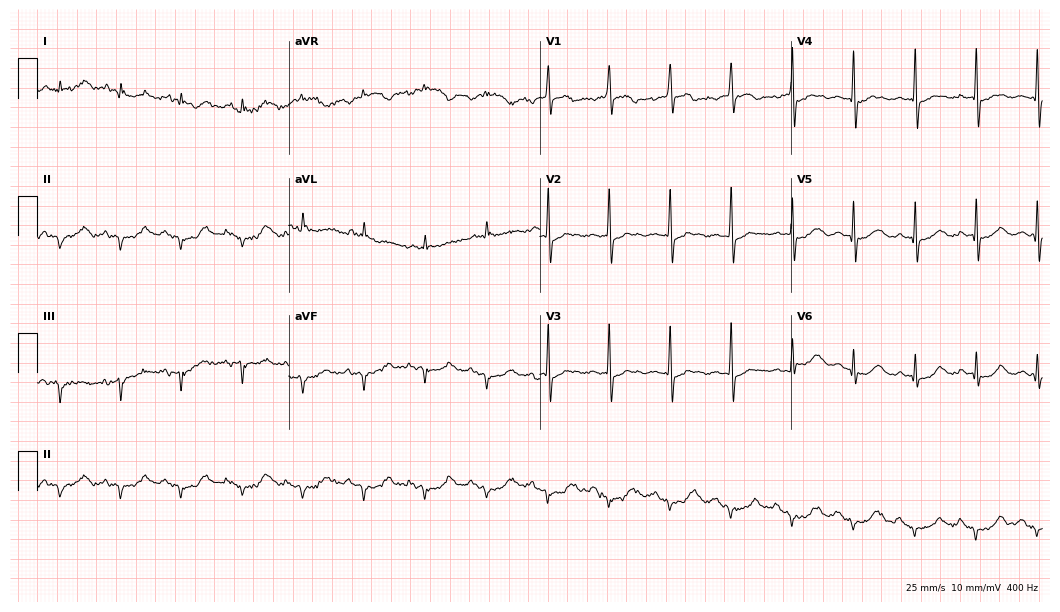
ECG — an 86-year-old male. Screened for six findings — first-degree AV block, right bundle branch block (RBBB), left bundle branch block (LBBB), sinus bradycardia, atrial fibrillation (AF), sinus tachycardia — none is recorded.